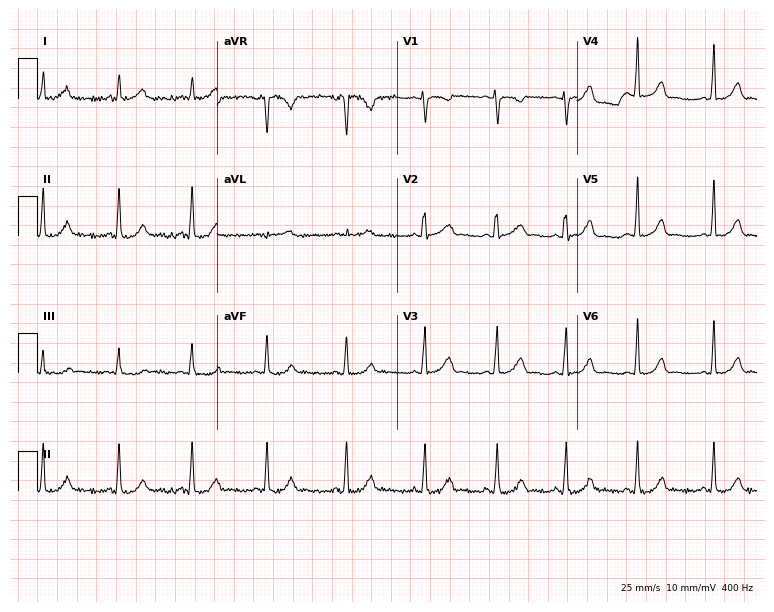
ECG — a 19-year-old female patient. Labelled as a normal ECG.